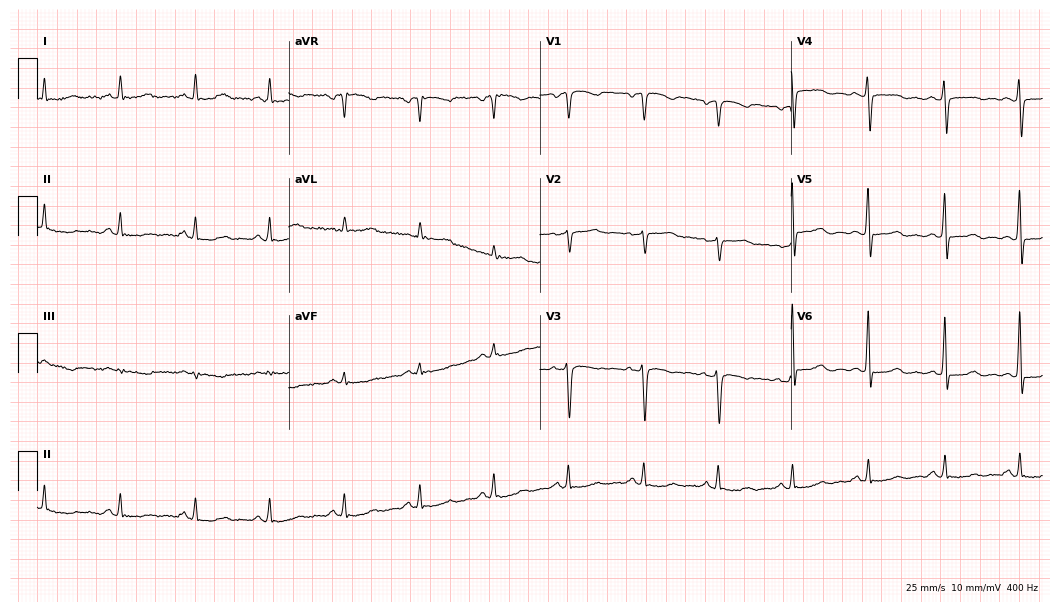
Resting 12-lead electrocardiogram. Patient: a woman, 55 years old. None of these six findings is recorded: first-degree AV block, right bundle branch block (RBBB), left bundle branch block (LBBB), sinus bradycardia, atrial fibrillation (AF), sinus tachycardia.